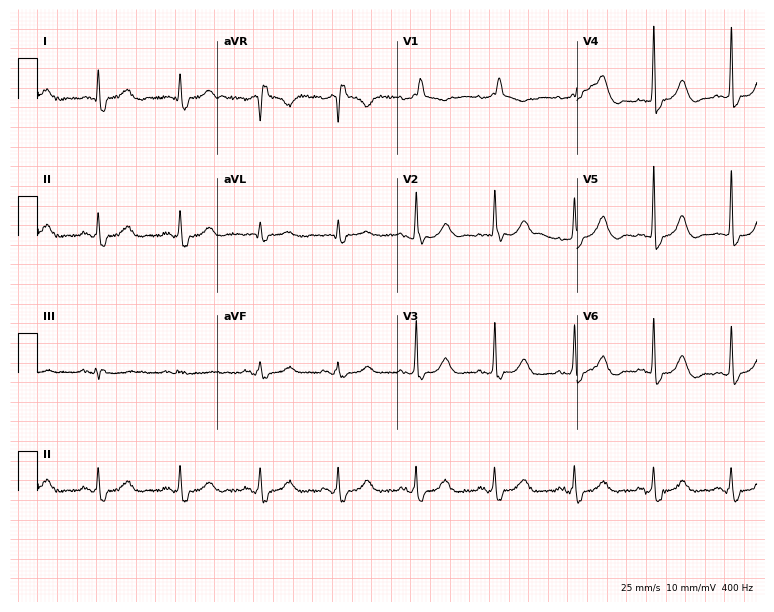
12-lead ECG (7.3-second recording at 400 Hz) from a 78-year-old female. Screened for six findings — first-degree AV block, right bundle branch block, left bundle branch block, sinus bradycardia, atrial fibrillation, sinus tachycardia — none is recorded.